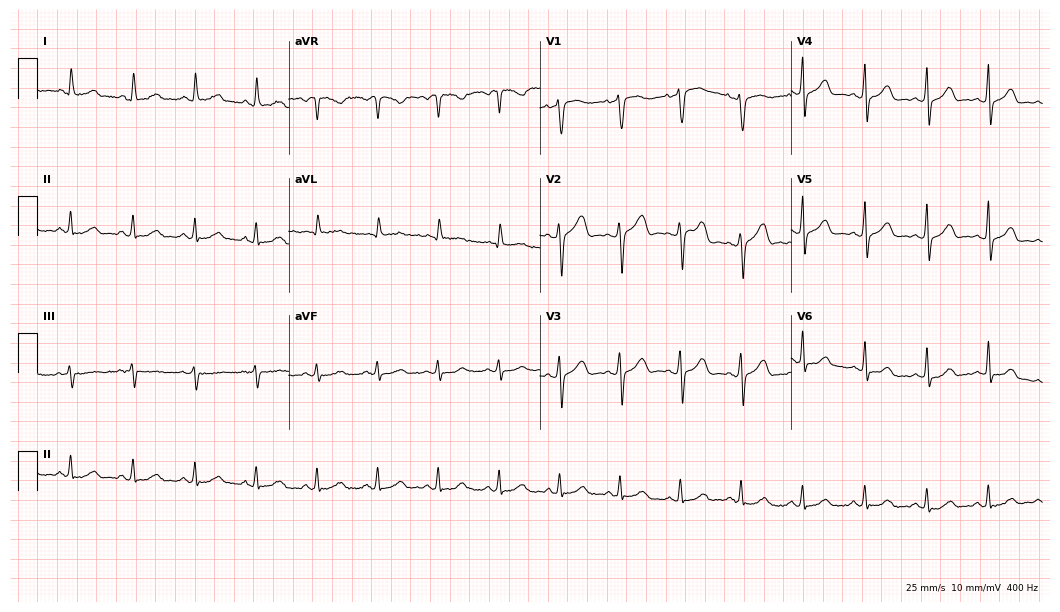
12-lead ECG (10.2-second recording at 400 Hz) from a female patient, 48 years old. Labelled as a normal ECG.